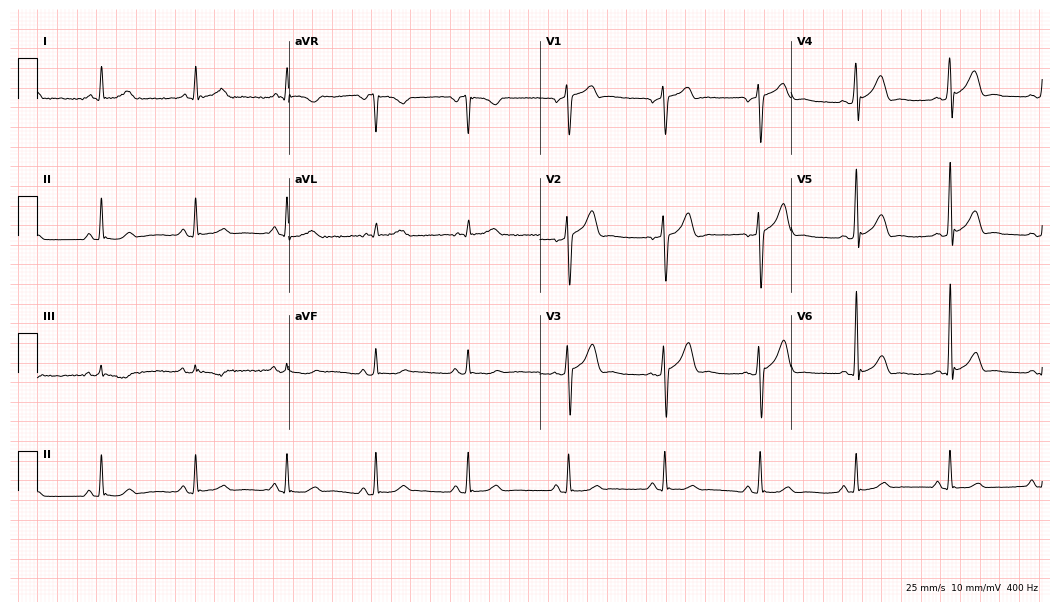
12-lead ECG from a 59-year-old male. No first-degree AV block, right bundle branch block, left bundle branch block, sinus bradycardia, atrial fibrillation or sinus tachycardia recorded for this tracing. Findings outside these six are not listed.